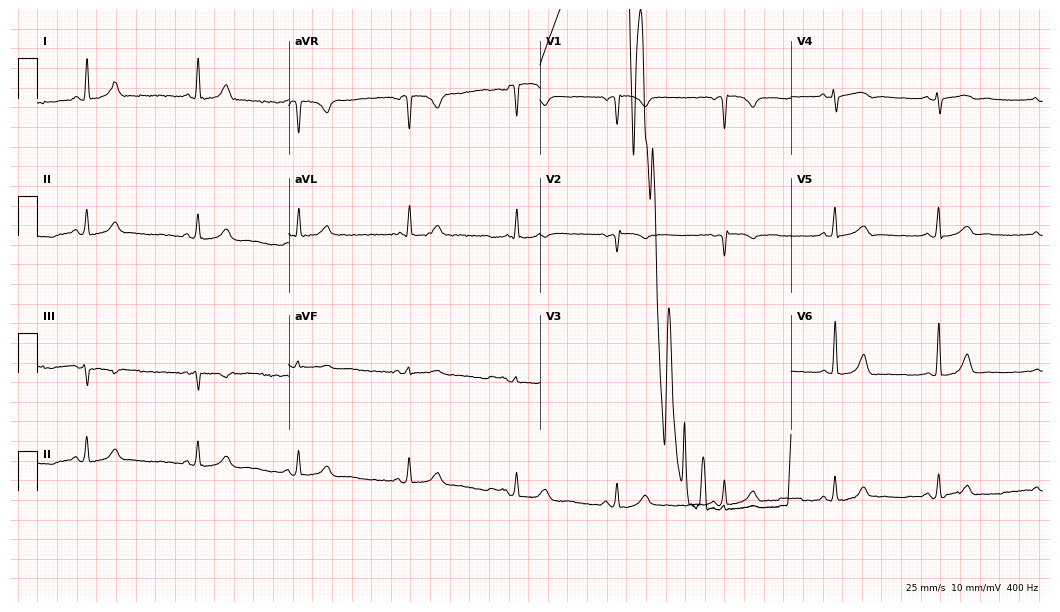
ECG — a 40-year-old female. Screened for six findings — first-degree AV block, right bundle branch block, left bundle branch block, sinus bradycardia, atrial fibrillation, sinus tachycardia — none is recorded. Findings outside these six are not listed.